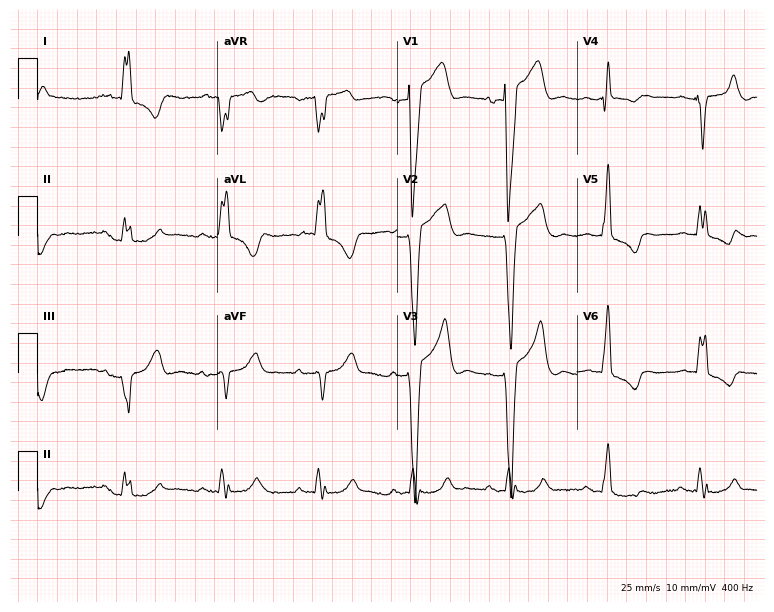
Resting 12-lead electrocardiogram (7.3-second recording at 400 Hz). Patient: a 69-year-old male. None of these six findings is recorded: first-degree AV block, right bundle branch block, left bundle branch block, sinus bradycardia, atrial fibrillation, sinus tachycardia. Only these six findings were labelled.